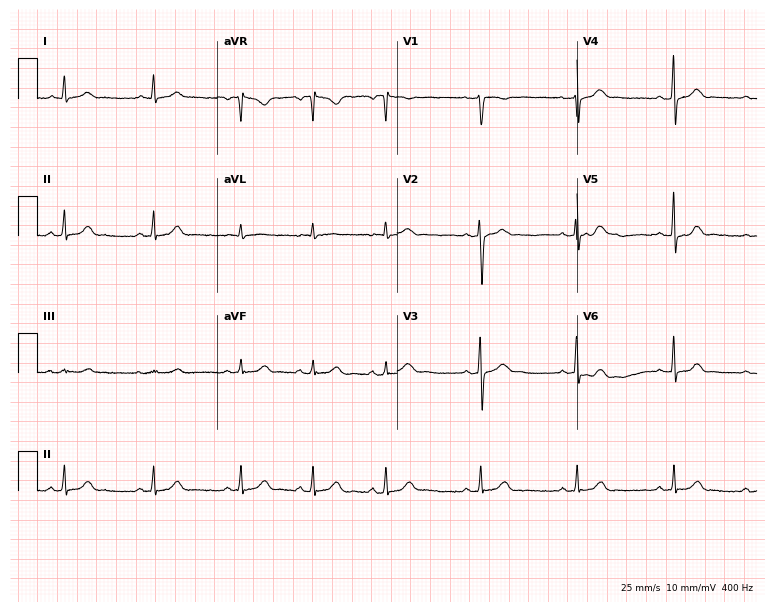
12-lead ECG from a 32-year-old female. No first-degree AV block, right bundle branch block, left bundle branch block, sinus bradycardia, atrial fibrillation or sinus tachycardia recorded for this tracing. Other findings, if any, are not listed.